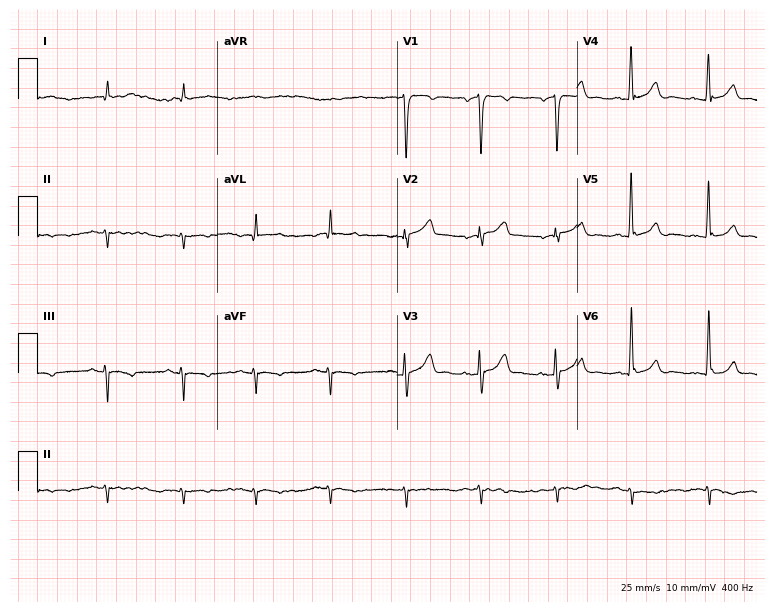
12-lead ECG from a 49-year-old male. No first-degree AV block, right bundle branch block, left bundle branch block, sinus bradycardia, atrial fibrillation or sinus tachycardia recorded for this tracing. Only these six findings were labelled.